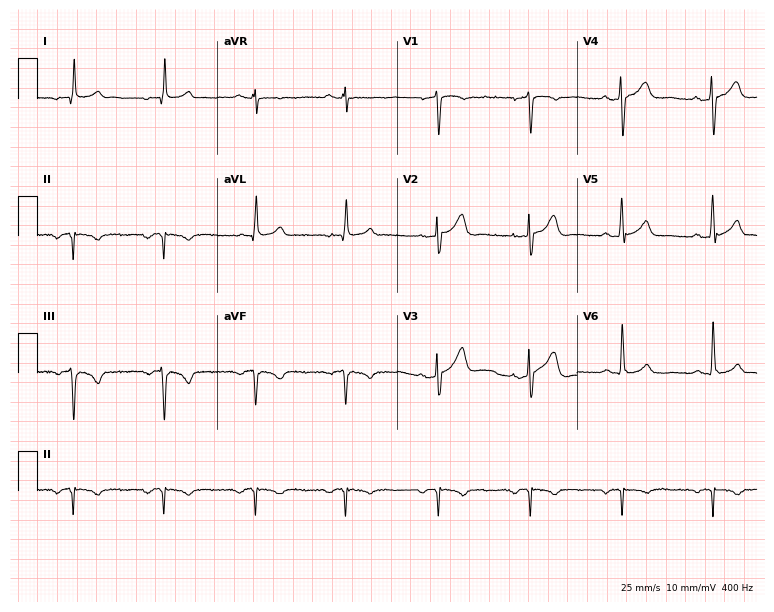
Resting 12-lead electrocardiogram. Patient: a 61-year-old man. None of these six findings is recorded: first-degree AV block, right bundle branch block (RBBB), left bundle branch block (LBBB), sinus bradycardia, atrial fibrillation (AF), sinus tachycardia. Other findings, if any, are not listed.